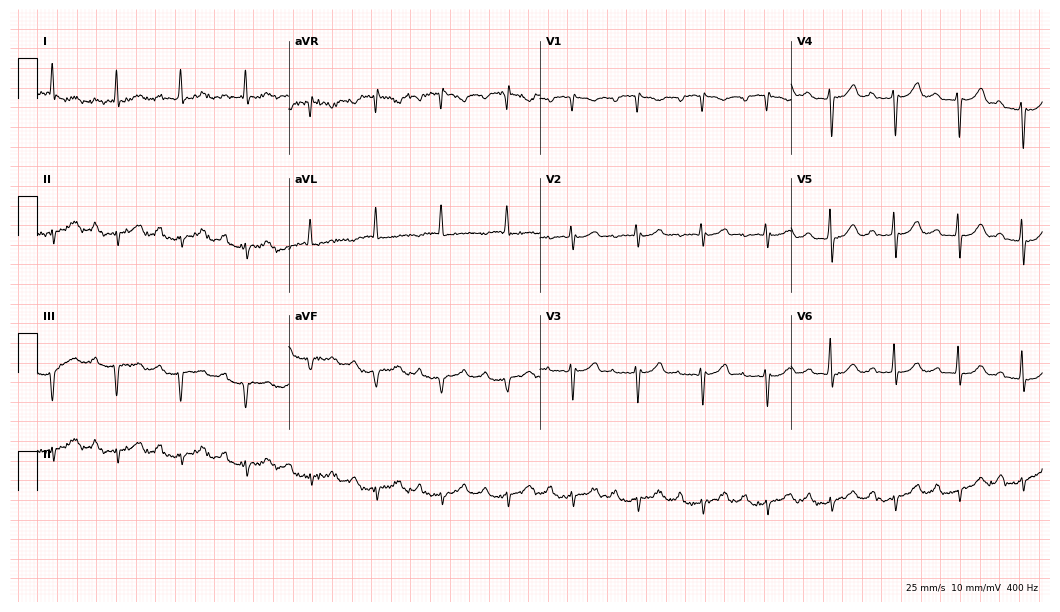
Standard 12-lead ECG recorded from an 85-year-old female patient. The tracing shows first-degree AV block.